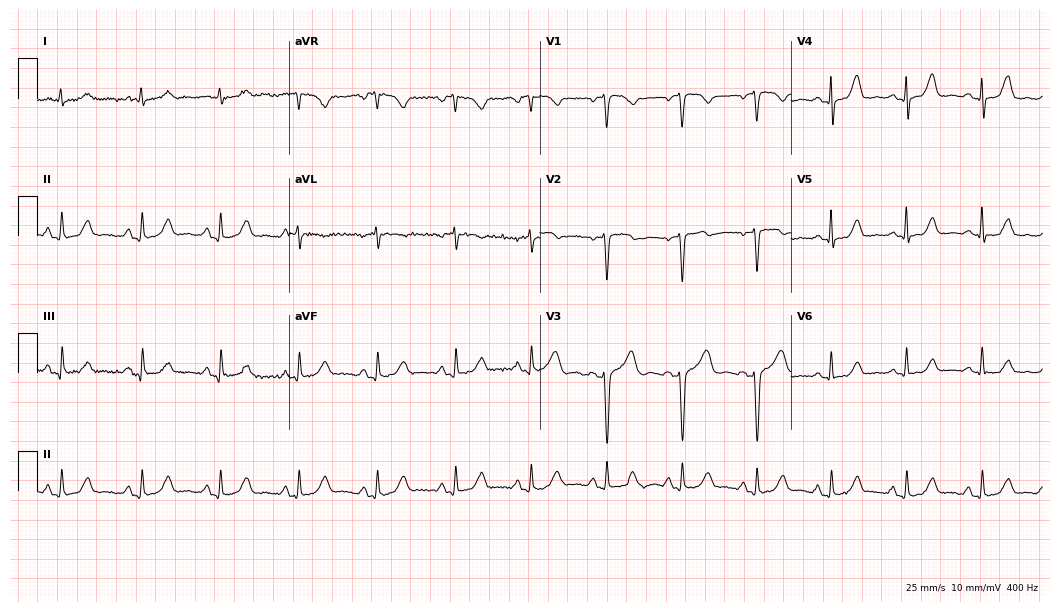
12-lead ECG (10.2-second recording at 400 Hz) from a female, 45 years old. Labelled as a normal ECG.